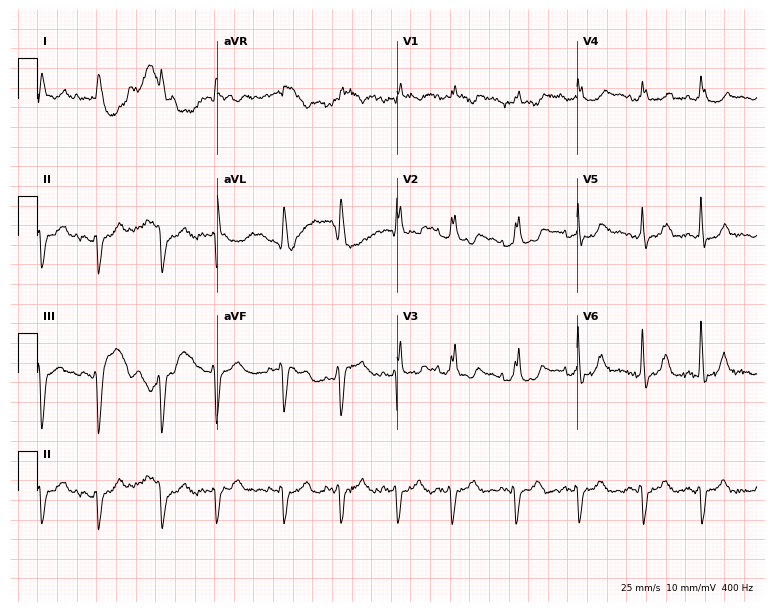
Electrocardiogram (7.3-second recording at 400 Hz), a 76-year-old male. Interpretation includes right bundle branch block, atrial fibrillation.